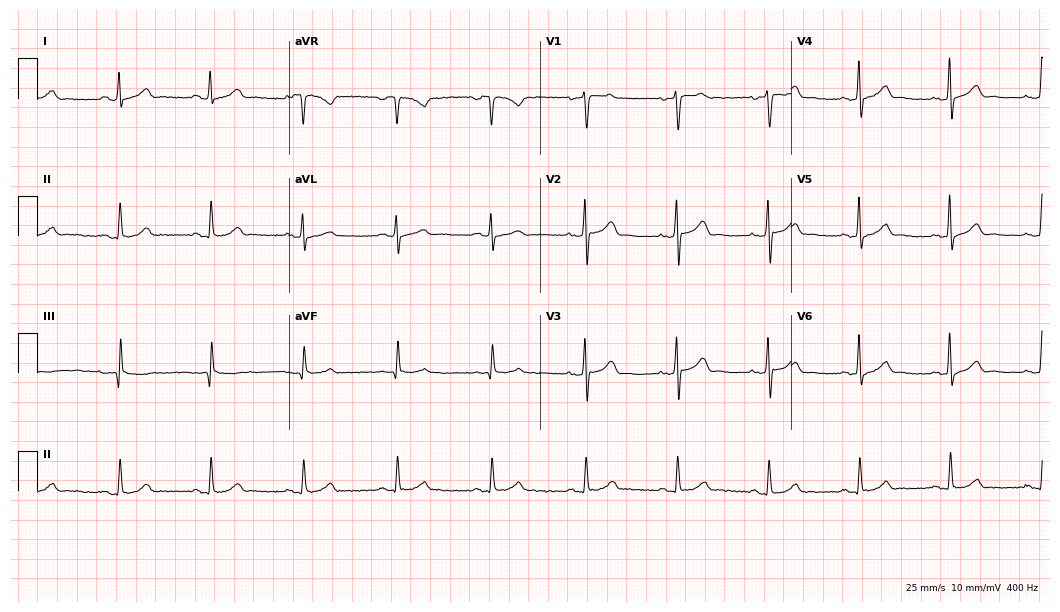
Resting 12-lead electrocardiogram (10.2-second recording at 400 Hz). Patient: a 46-year-old male. Read as a normal ECG.